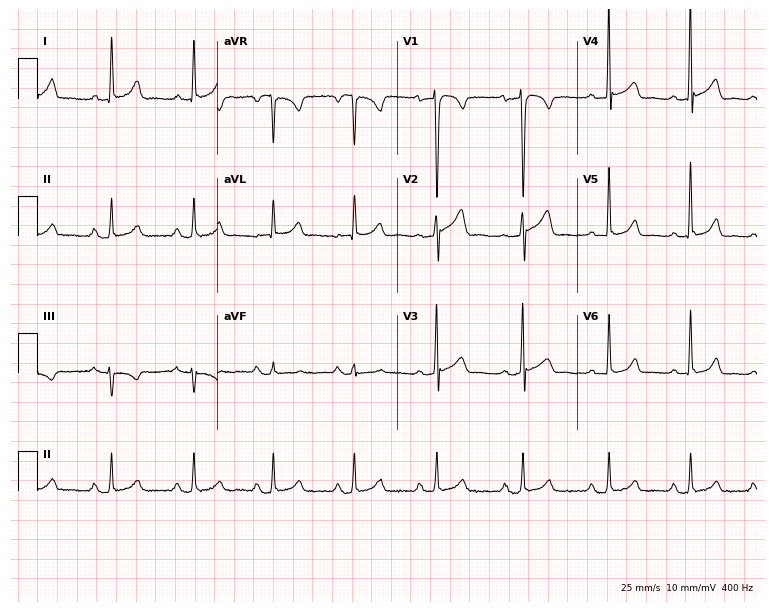
12-lead ECG from a 54-year-old man (7.3-second recording at 400 Hz). No first-degree AV block, right bundle branch block, left bundle branch block, sinus bradycardia, atrial fibrillation or sinus tachycardia recorded for this tracing.